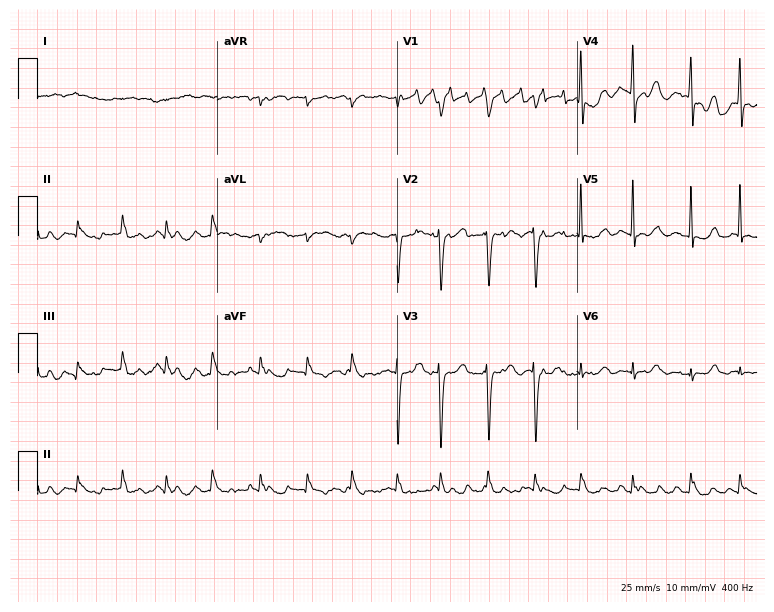
Electrocardiogram, a 70-year-old woman. Of the six screened findings (first-degree AV block, right bundle branch block, left bundle branch block, sinus bradycardia, atrial fibrillation, sinus tachycardia), none is recorded.